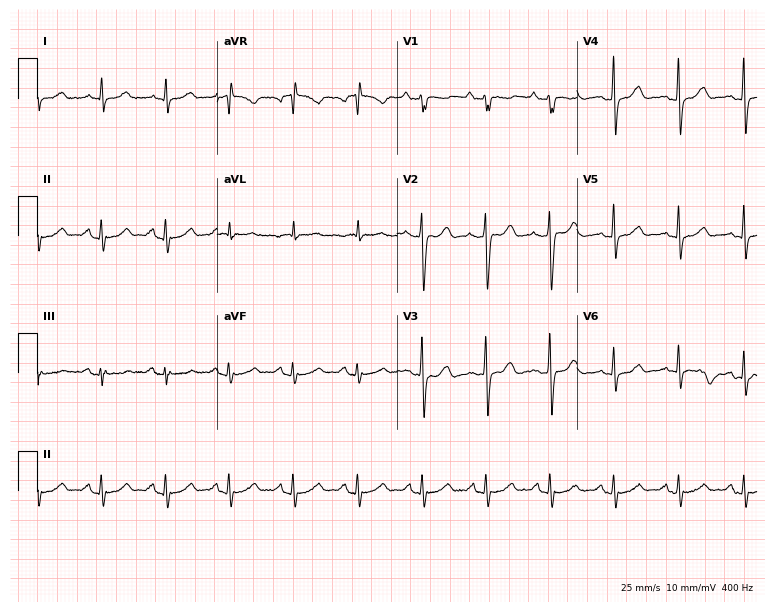
ECG — a female patient, 72 years old. Screened for six findings — first-degree AV block, right bundle branch block, left bundle branch block, sinus bradycardia, atrial fibrillation, sinus tachycardia — none is recorded. Findings outside these six are not listed.